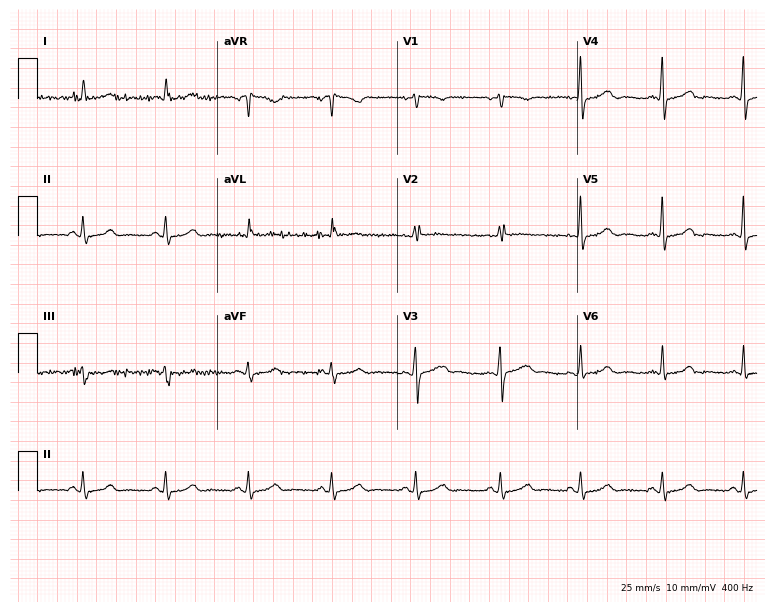
Resting 12-lead electrocardiogram. Patient: a 40-year-old woman. None of these six findings is recorded: first-degree AV block, right bundle branch block, left bundle branch block, sinus bradycardia, atrial fibrillation, sinus tachycardia.